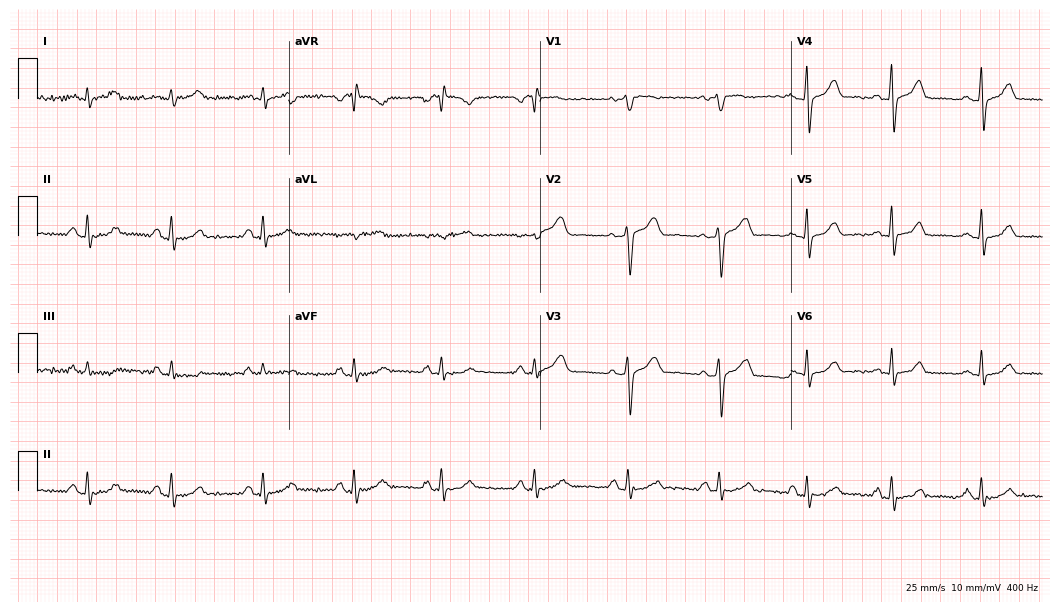
ECG — a 39-year-old female patient. Labelled as a normal ECG.